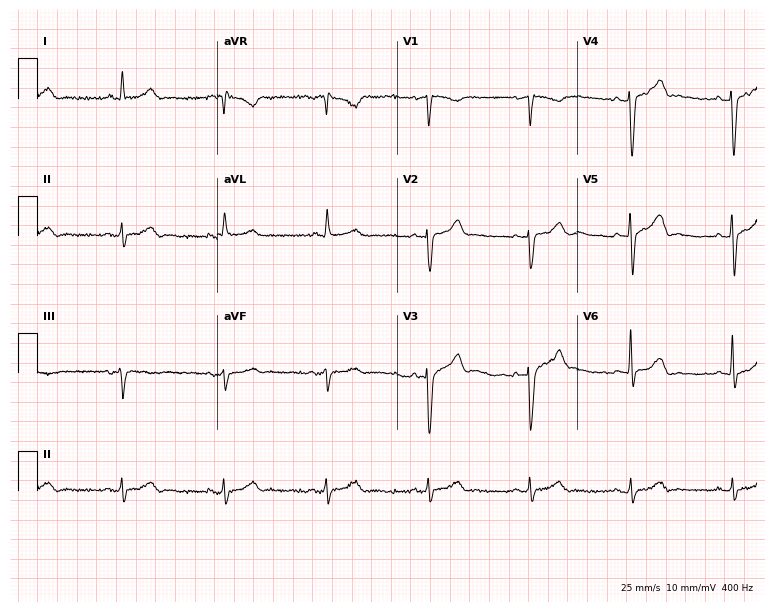
Standard 12-lead ECG recorded from a male, 78 years old (7.3-second recording at 400 Hz). Read as a normal ECG.